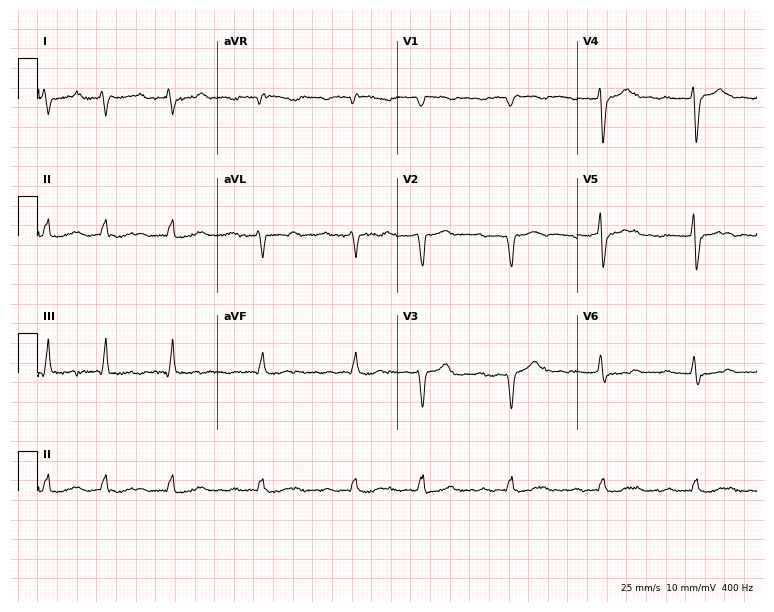
12-lead ECG from a female patient, 58 years old. Screened for six findings — first-degree AV block, right bundle branch block, left bundle branch block, sinus bradycardia, atrial fibrillation, sinus tachycardia — none is recorded. Findings outside these six are not listed.